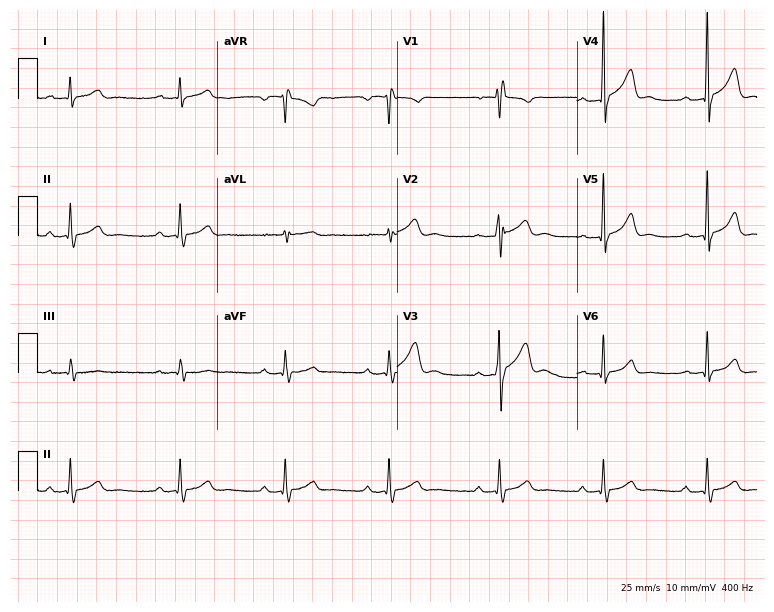
Resting 12-lead electrocardiogram (7.3-second recording at 400 Hz). Patient: a man, 19 years old. The tracing shows first-degree AV block.